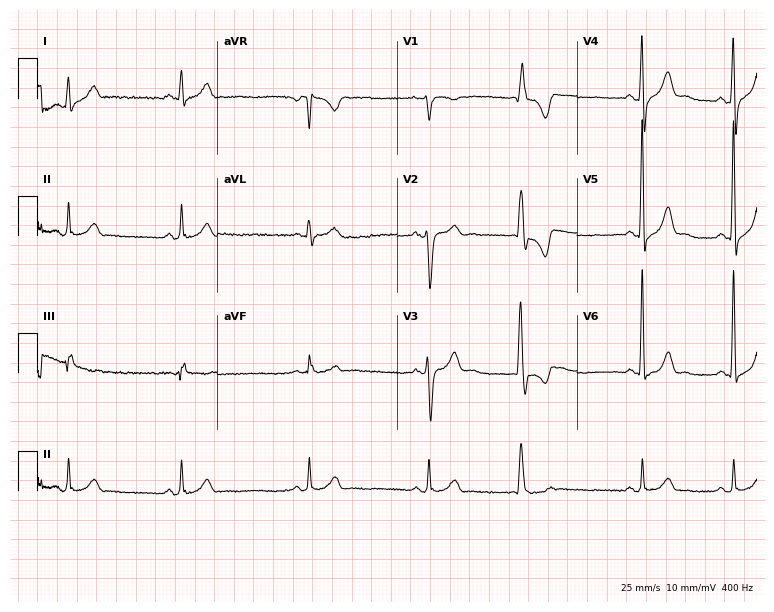
ECG (7.3-second recording at 400 Hz) — a male patient, 34 years old. Labelled as a normal ECG.